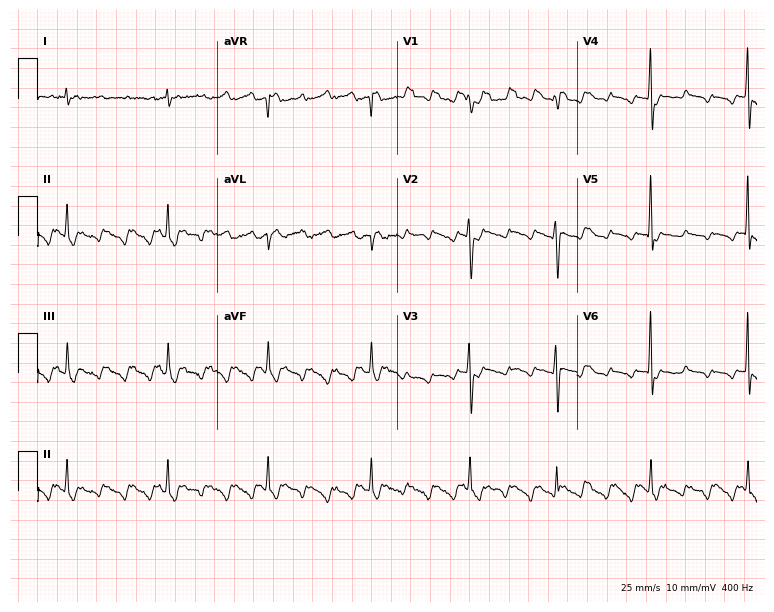
Resting 12-lead electrocardiogram (7.3-second recording at 400 Hz). Patient: a female, 59 years old. None of these six findings is recorded: first-degree AV block, right bundle branch block, left bundle branch block, sinus bradycardia, atrial fibrillation, sinus tachycardia. Other findings, if any, are not listed.